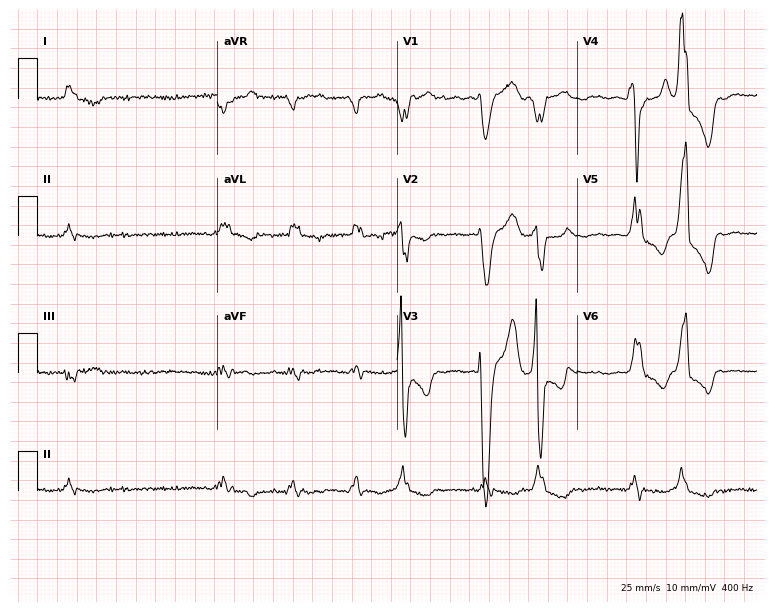
Resting 12-lead electrocardiogram (7.3-second recording at 400 Hz). Patient: a male, 63 years old. None of these six findings is recorded: first-degree AV block, right bundle branch block, left bundle branch block, sinus bradycardia, atrial fibrillation, sinus tachycardia.